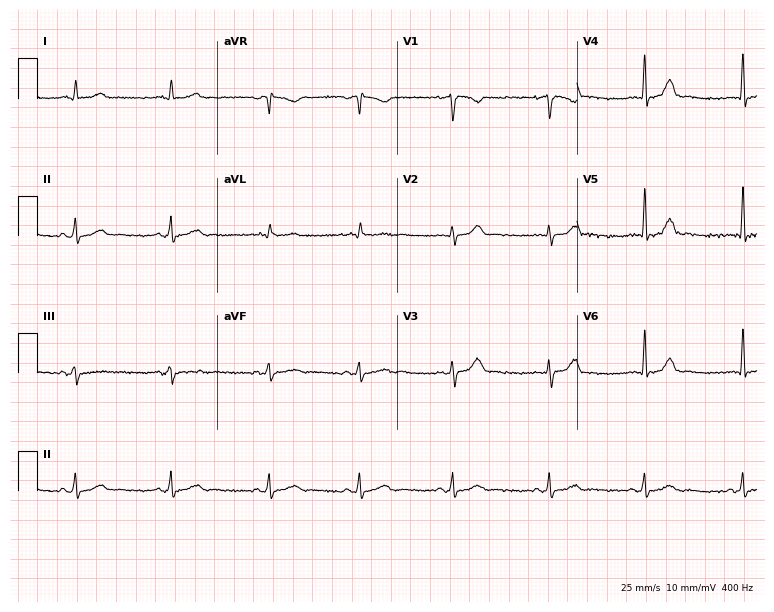
Electrocardiogram (7.3-second recording at 400 Hz), a female patient, 27 years old. Overall reading on record: normal ECG.